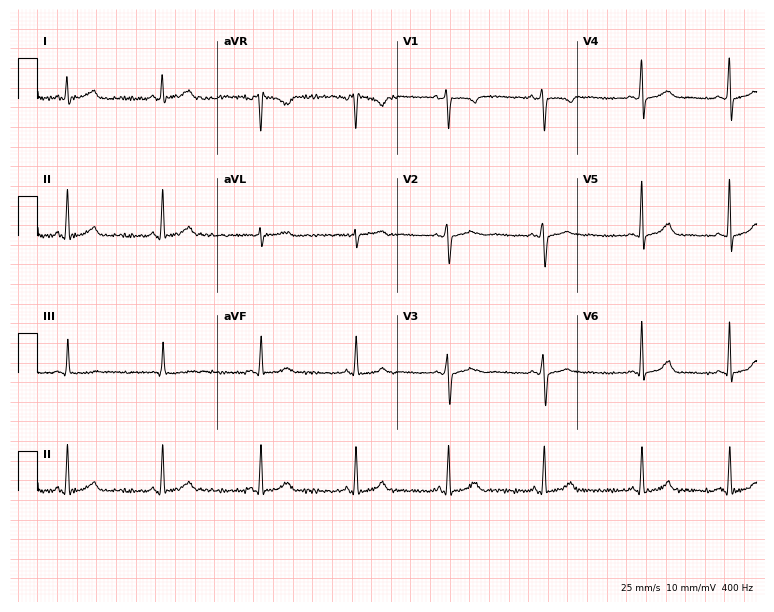
12-lead ECG (7.3-second recording at 400 Hz) from a 22-year-old female patient. Screened for six findings — first-degree AV block, right bundle branch block (RBBB), left bundle branch block (LBBB), sinus bradycardia, atrial fibrillation (AF), sinus tachycardia — none is recorded. Other findings, if any, are not listed.